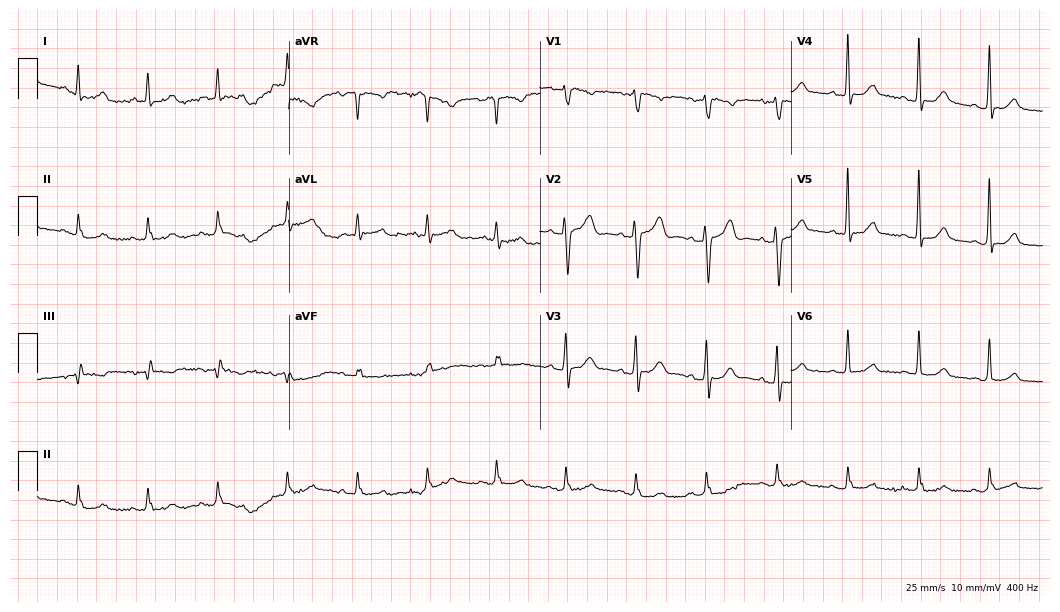
12-lead ECG from an 84-year-old male. Screened for six findings — first-degree AV block, right bundle branch block, left bundle branch block, sinus bradycardia, atrial fibrillation, sinus tachycardia — none is recorded.